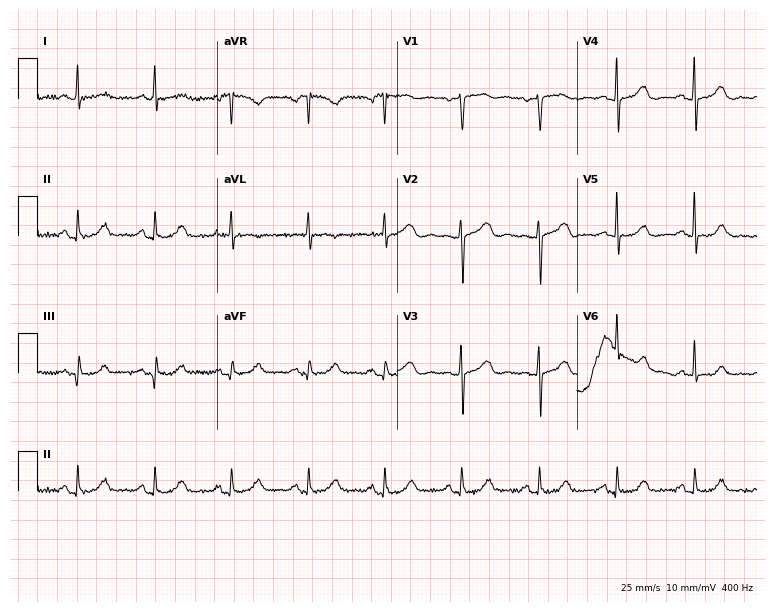
Standard 12-lead ECG recorded from a 75-year-old female patient. Read as a normal ECG.